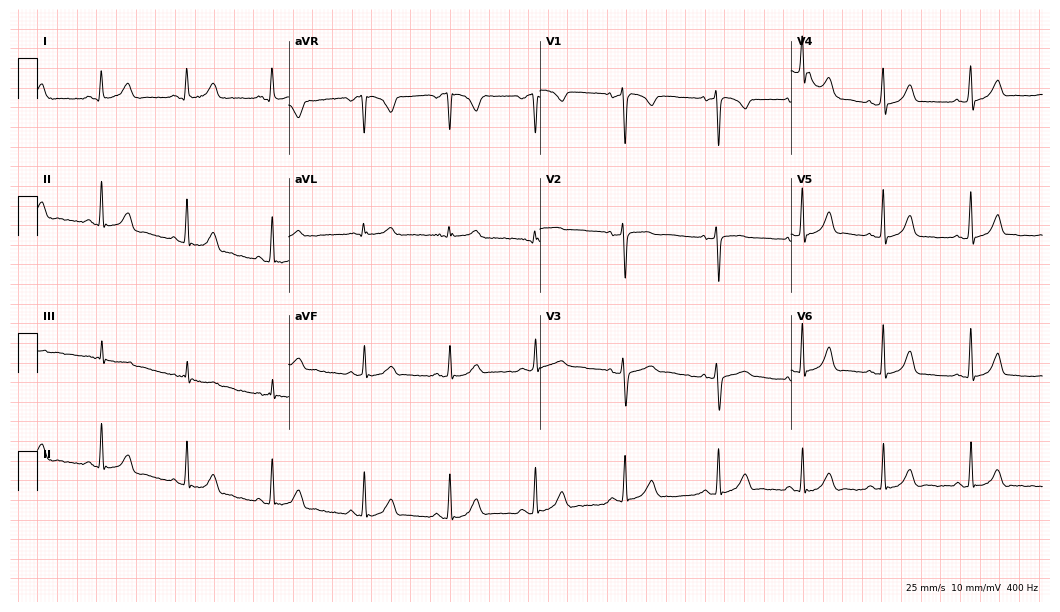
Resting 12-lead electrocardiogram (10.2-second recording at 400 Hz). Patient: a 27-year-old female. Read as a normal ECG.